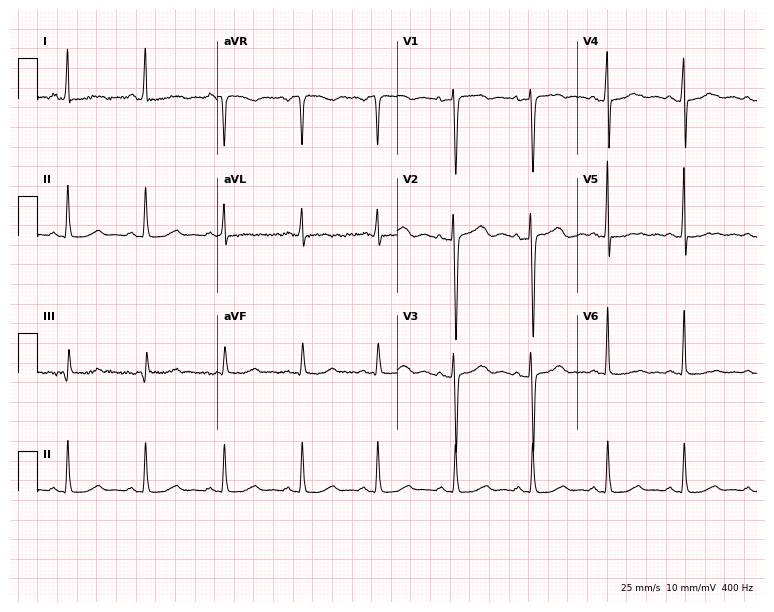
12-lead ECG from a 42-year-old woman (7.3-second recording at 400 Hz). No first-degree AV block, right bundle branch block, left bundle branch block, sinus bradycardia, atrial fibrillation or sinus tachycardia recorded for this tracing.